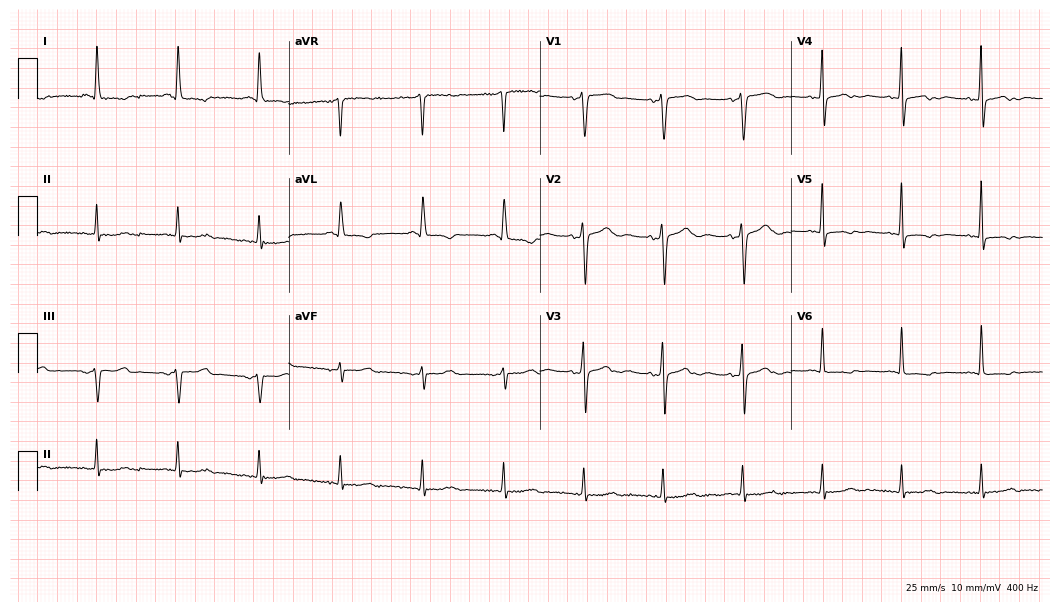
Resting 12-lead electrocardiogram. Patient: a female, 62 years old. None of these six findings is recorded: first-degree AV block, right bundle branch block, left bundle branch block, sinus bradycardia, atrial fibrillation, sinus tachycardia. Findings outside these six are not listed.